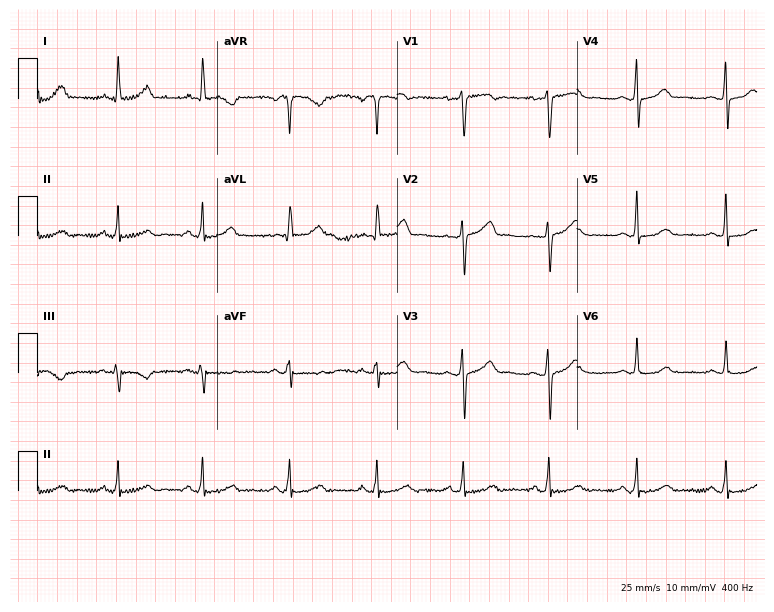
Standard 12-lead ECG recorded from a woman, 42 years old. Read as a normal ECG.